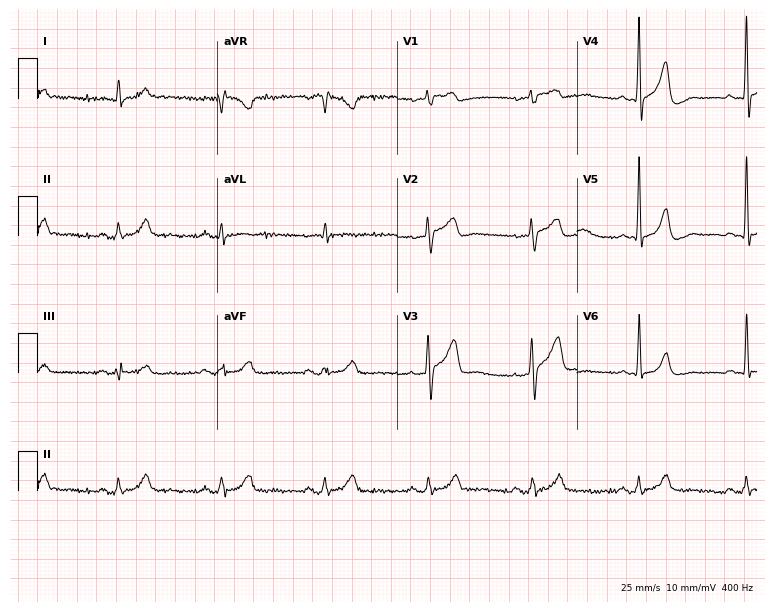
12-lead ECG from a male, 76 years old. Labelled as a normal ECG.